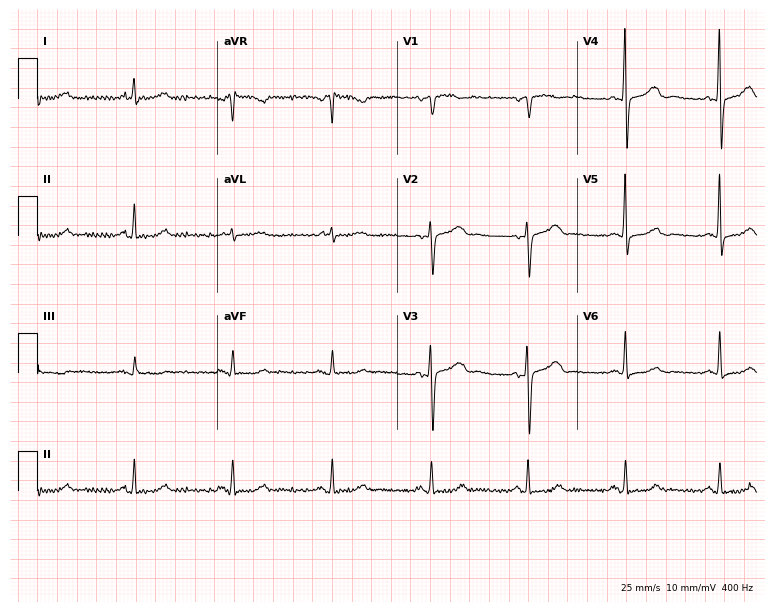
12-lead ECG from a woman, 68 years old (7.3-second recording at 400 Hz). No first-degree AV block, right bundle branch block, left bundle branch block, sinus bradycardia, atrial fibrillation or sinus tachycardia recorded for this tracing. Only these six findings were labelled.